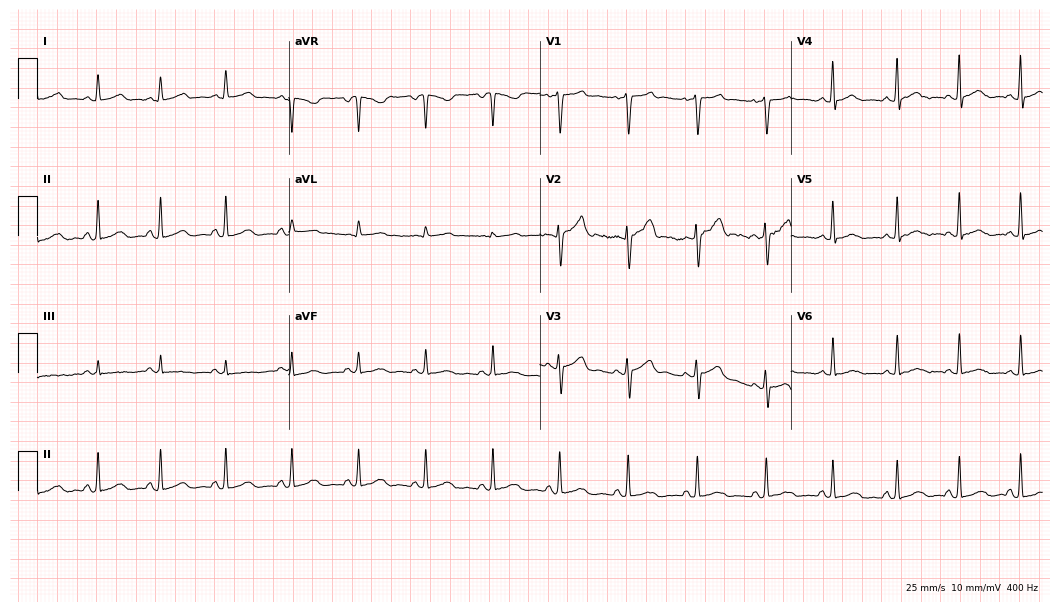
Electrocardiogram, a female, 41 years old. Overall reading on record: normal ECG.